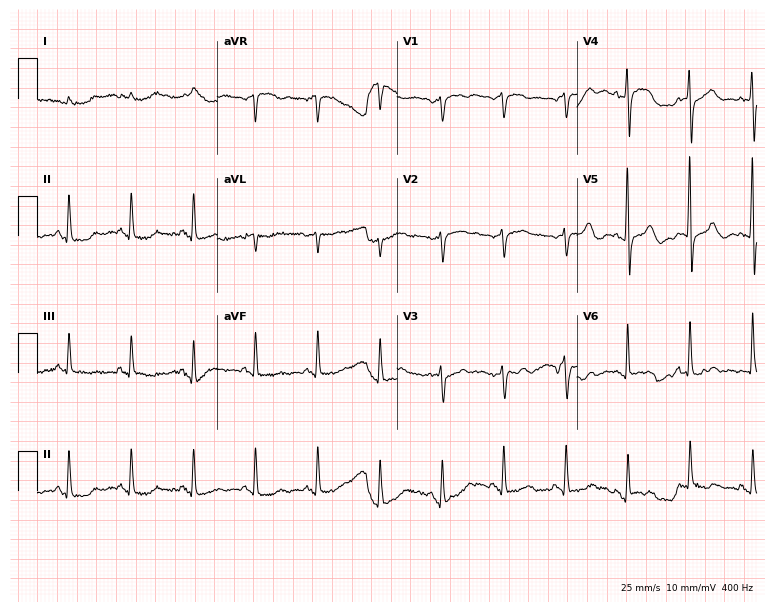
12-lead ECG from a woman, 77 years old. No first-degree AV block, right bundle branch block, left bundle branch block, sinus bradycardia, atrial fibrillation or sinus tachycardia recorded for this tracing.